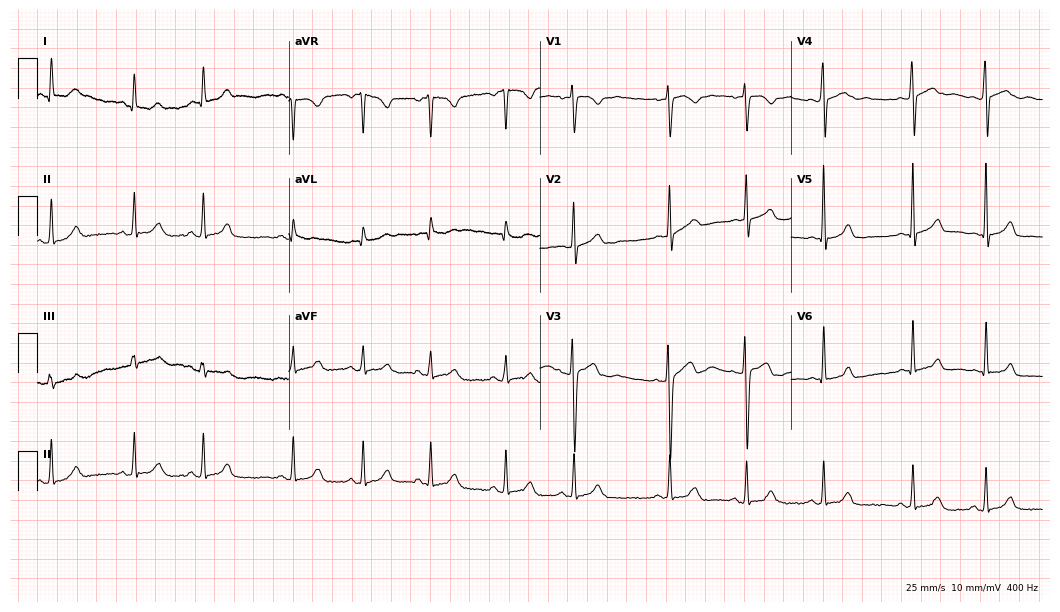
Resting 12-lead electrocardiogram. Patient: a 17-year-old woman. Read as a normal ECG.